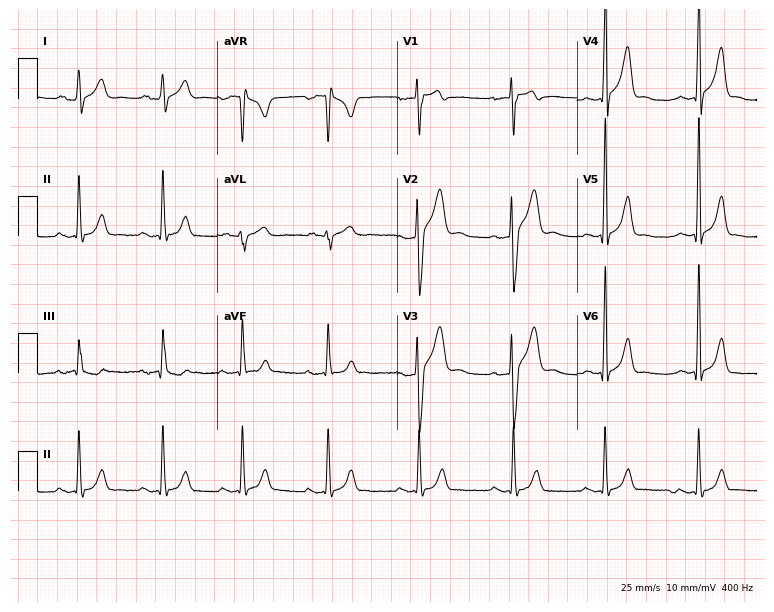
Resting 12-lead electrocardiogram (7.3-second recording at 400 Hz). Patient: a male, 25 years old. None of these six findings is recorded: first-degree AV block, right bundle branch block, left bundle branch block, sinus bradycardia, atrial fibrillation, sinus tachycardia.